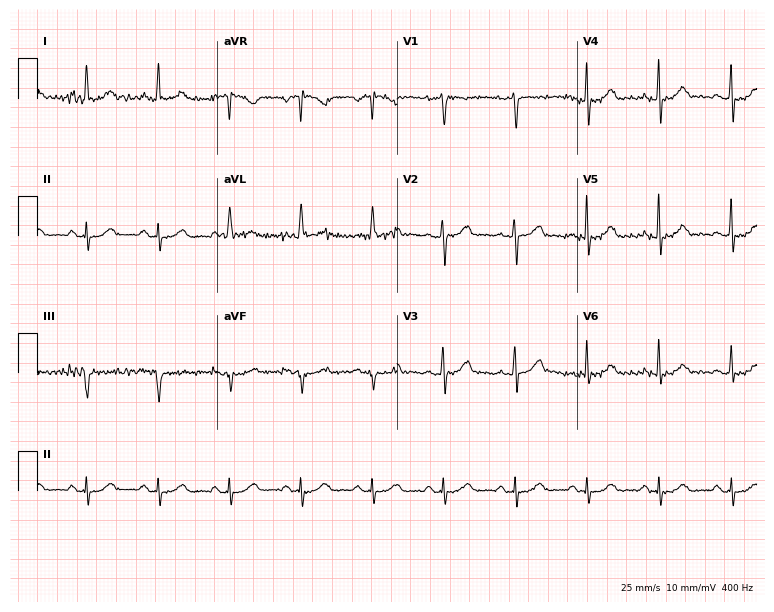
12-lead ECG from a female, 66 years old (7.3-second recording at 400 Hz). No first-degree AV block, right bundle branch block, left bundle branch block, sinus bradycardia, atrial fibrillation or sinus tachycardia recorded for this tracing.